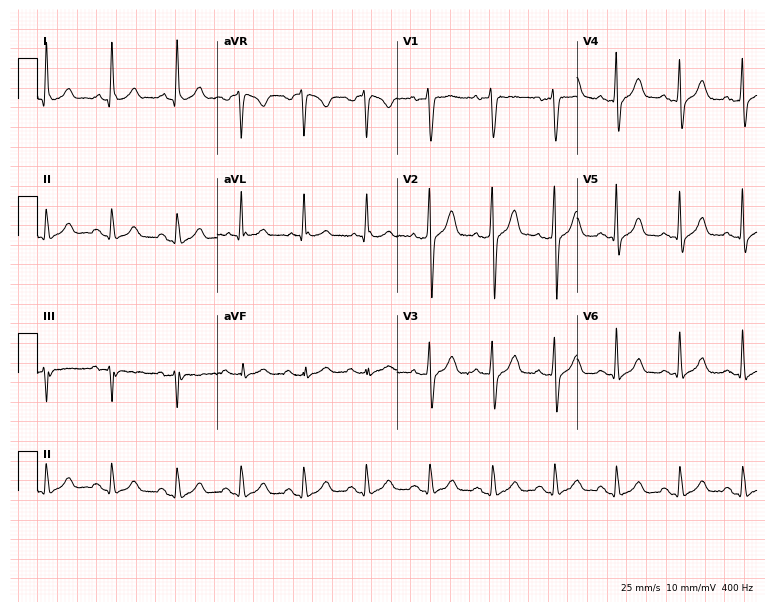
12-lead ECG (7.3-second recording at 400 Hz) from a 33-year-old male. Labelled as a normal ECG.